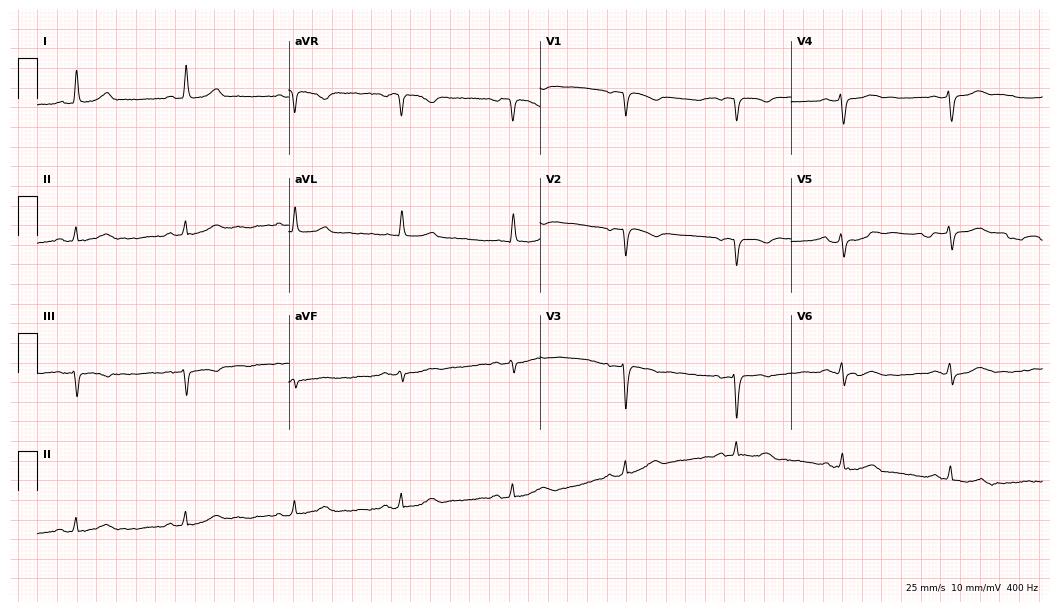
12-lead ECG from a female, 62 years old. Findings include sinus bradycardia (a sinus rate of 50 beats per minute or less).